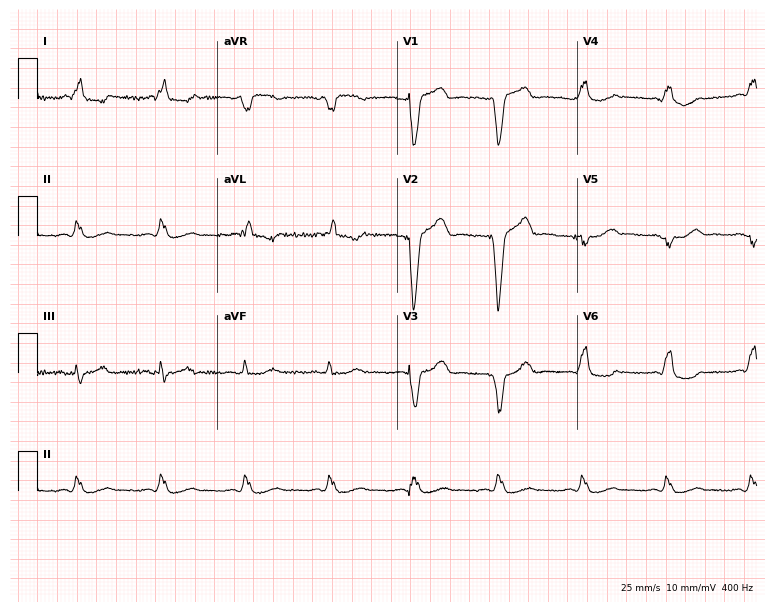
12-lead ECG (7.3-second recording at 400 Hz) from a female patient, 61 years old. Screened for six findings — first-degree AV block, right bundle branch block, left bundle branch block, sinus bradycardia, atrial fibrillation, sinus tachycardia — none is recorded.